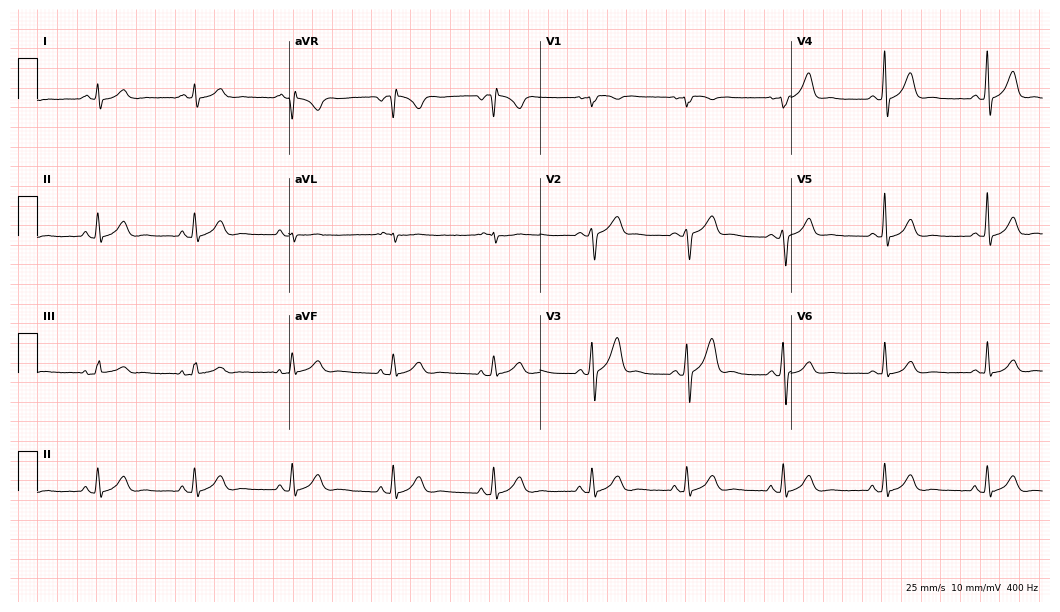
ECG — a woman, 36 years old. Labelled as a normal ECG.